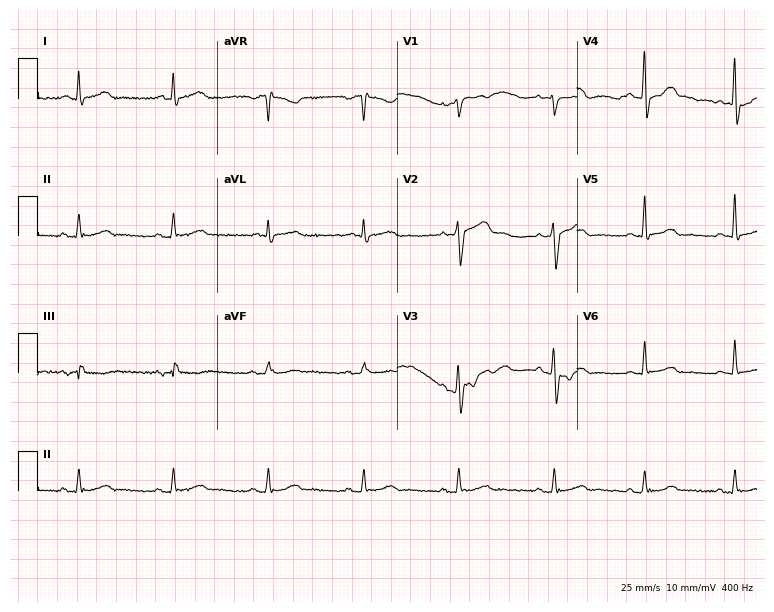
Electrocardiogram (7.3-second recording at 400 Hz), a male patient, 66 years old. Overall reading on record: normal ECG.